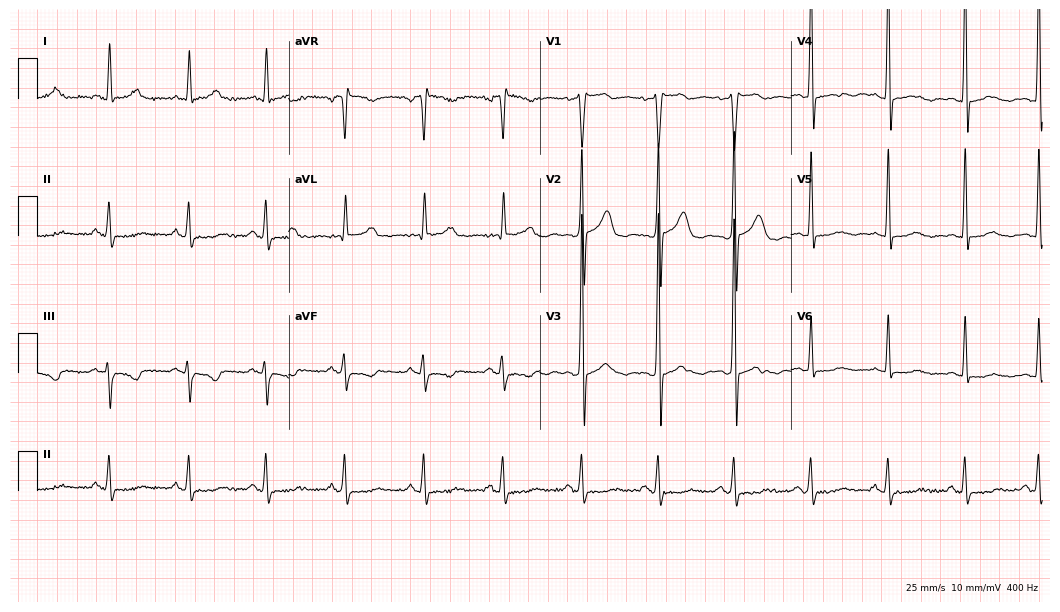
Resting 12-lead electrocardiogram (10.2-second recording at 400 Hz). Patient: a male, 54 years old. None of these six findings is recorded: first-degree AV block, right bundle branch block, left bundle branch block, sinus bradycardia, atrial fibrillation, sinus tachycardia.